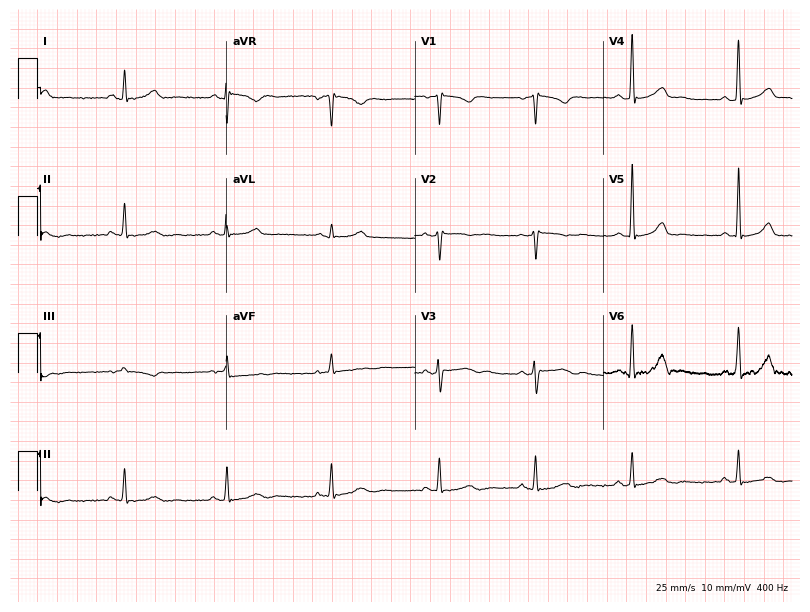
12-lead ECG from a 33-year-old female patient (7.7-second recording at 400 Hz). Recorded interpretation: within normal limits.